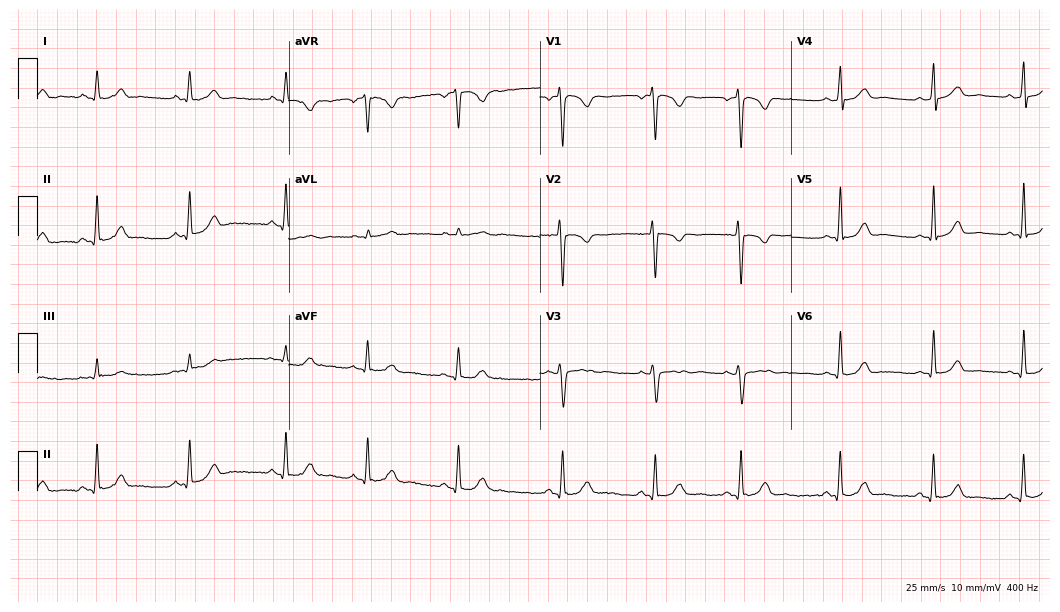
12-lead ECG from a 19-year-old female. Recorded interpretation: within normal limits.